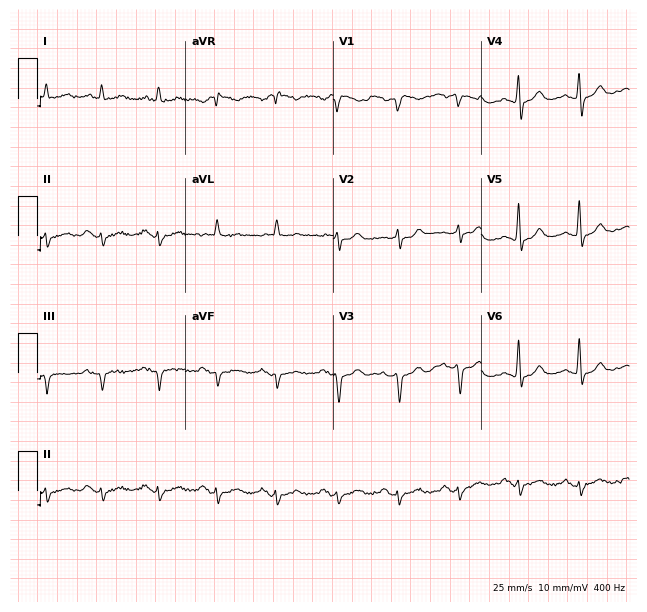
ECG — a 62-year-old male. Labelled as a normal ECG.